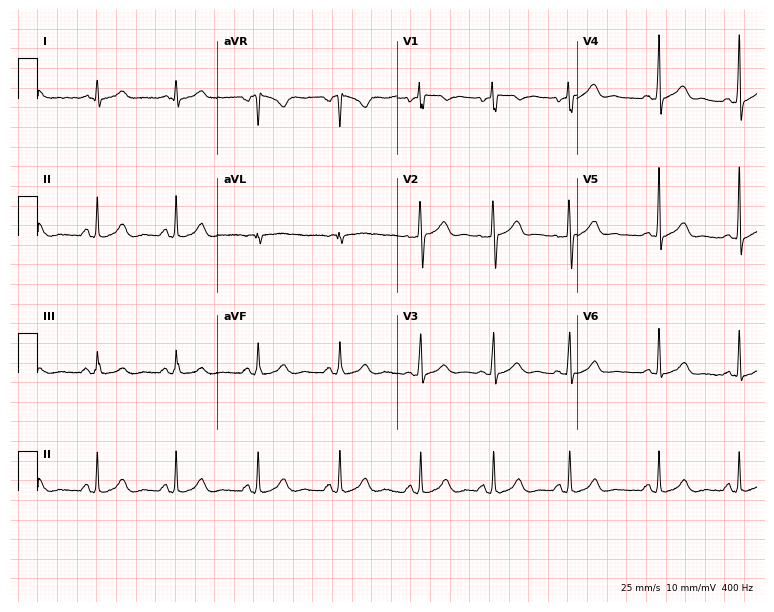
12-lead ECG from a woman, 34 years old. Labelled as a normal ECG.